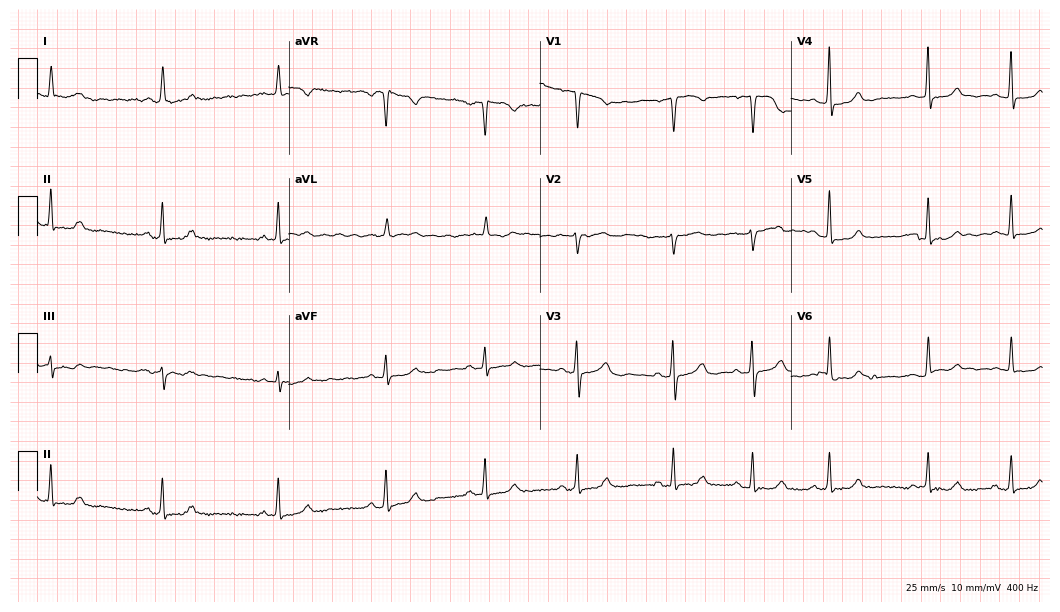
Electrocardiogram (10.2-second recording at 400 Hz), an 80-year-old female patient. Overall reading on record: normal ECG.